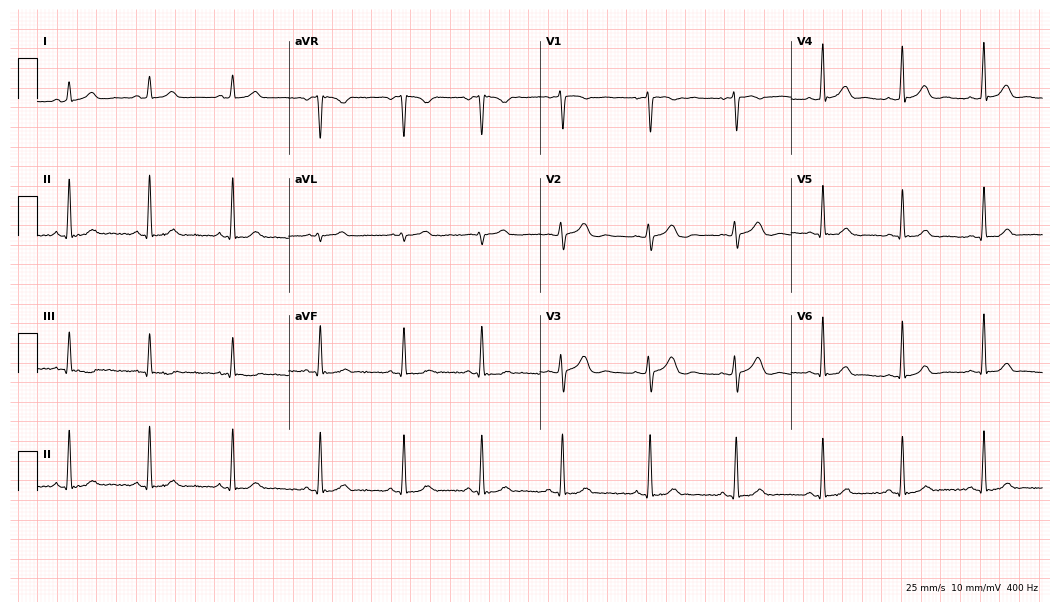
Resting 12-lead electrocardiogram. Patient: a 21-year-old female. Read as a normal ECG.